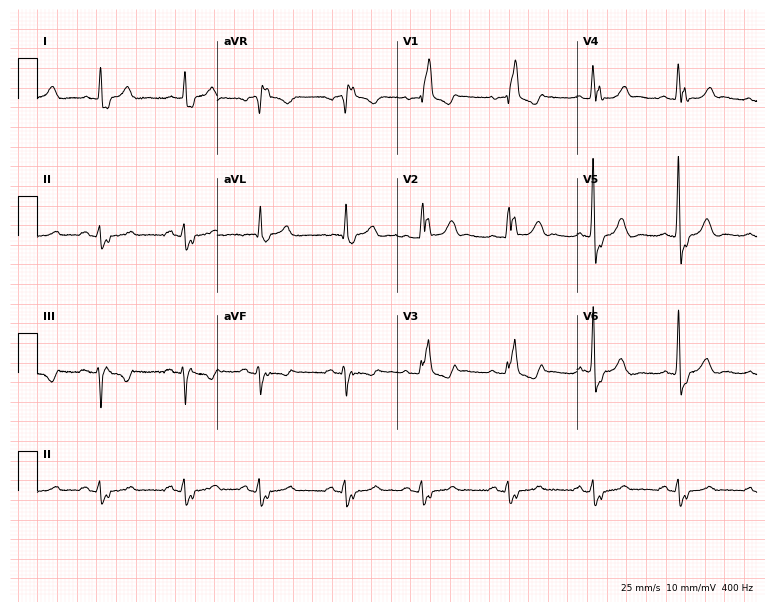
12-lead ECG from an 82-year-old male patient. Shows right bundle branch block.